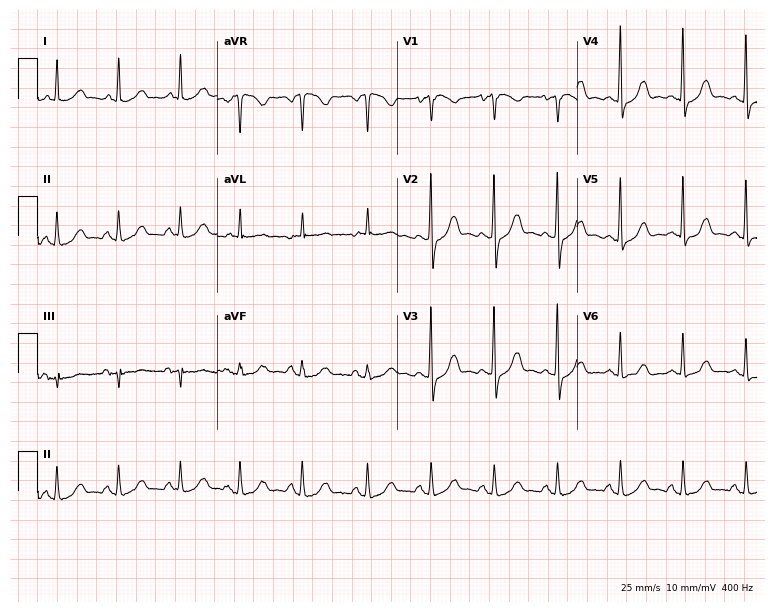
ECG (7.3-second recording at 400 Hz) — a female, 69 years old. Labelled as a normal ECG.